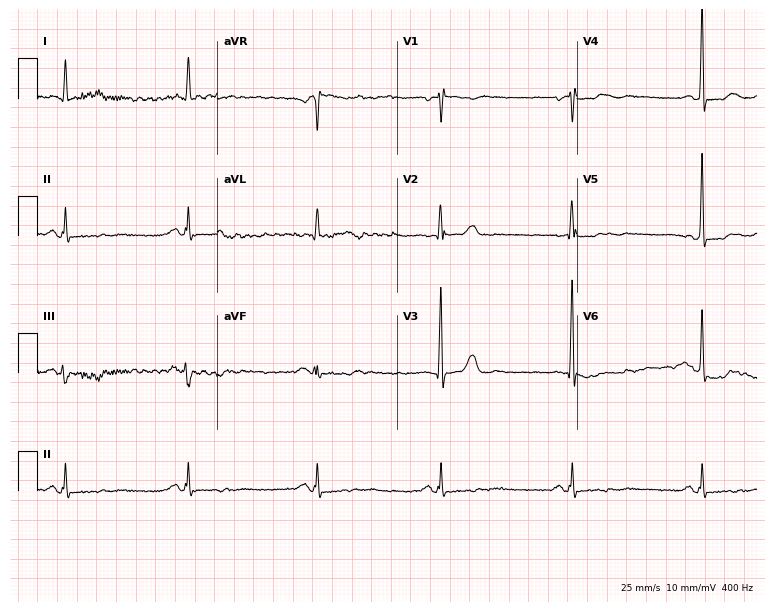
12-lead ECG from a 69-year-old woman. No first-degree AV block, right bundle branch block, left bundle branch block, sinus bradycardia, atrial fibrillation or sinus tachycardia recorded for this tracing.